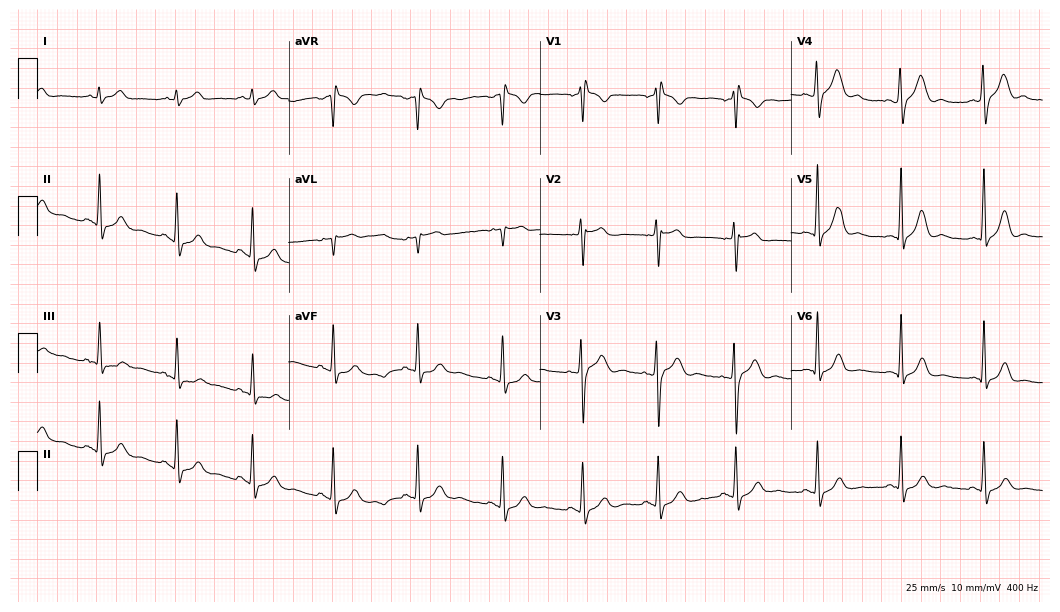
ECG — a 23-year-old man. Screened for six findings — first-degree AV block, right bundle branch block, left bundle branch block, sinus bradycardia, atrial fibrillation, sinus tachycardia — none is recorded. Only these six findings were labelled.